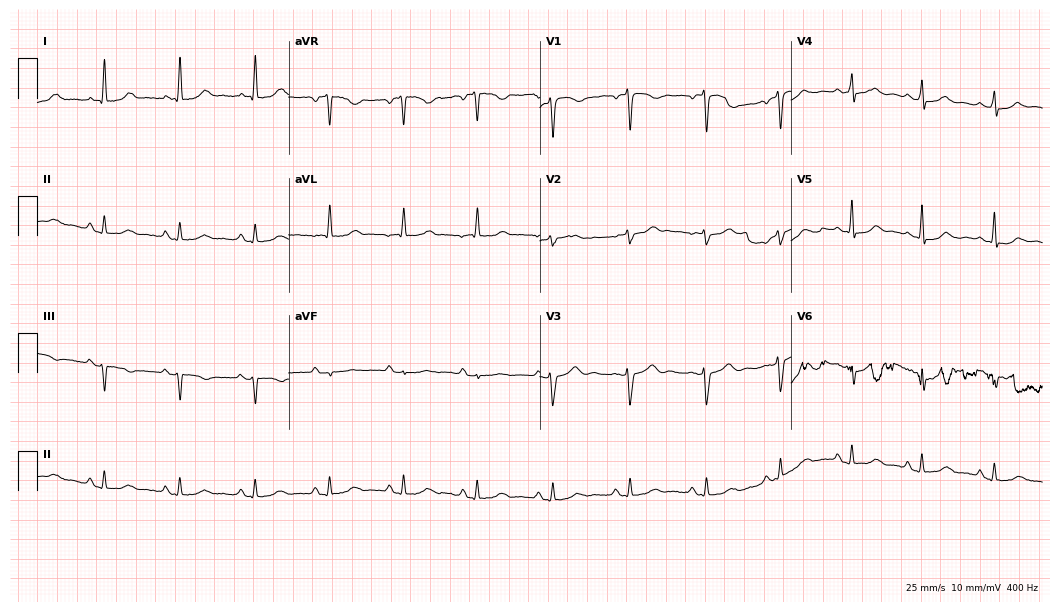
12-lead ECG from a 43-year-old woman. Recorded interpretation: within normal limits.